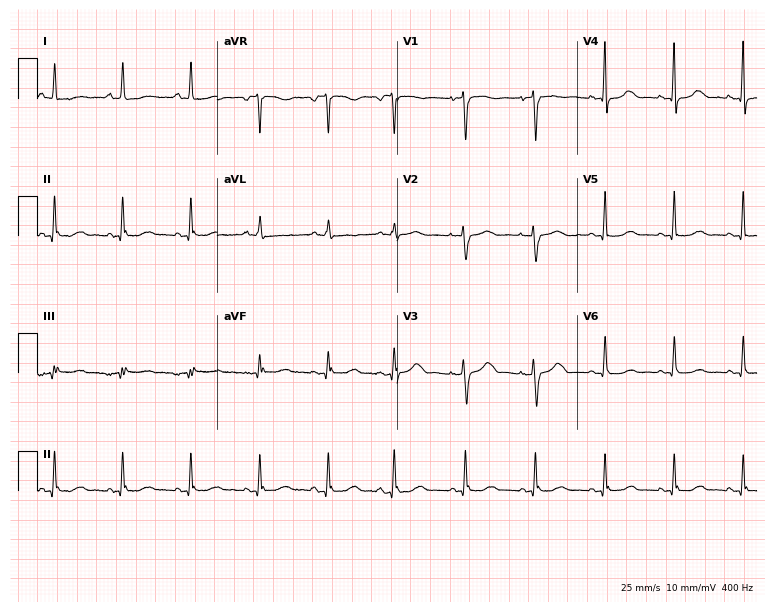
12-lead ECG from a female, 84 years old. No first-degree AV block, right bundle branch block, left bundle branch block, sinus bradycardia, atrial fibrillation or sinus tachycardia recorded for this tracing. Findings outside these six are not listed.